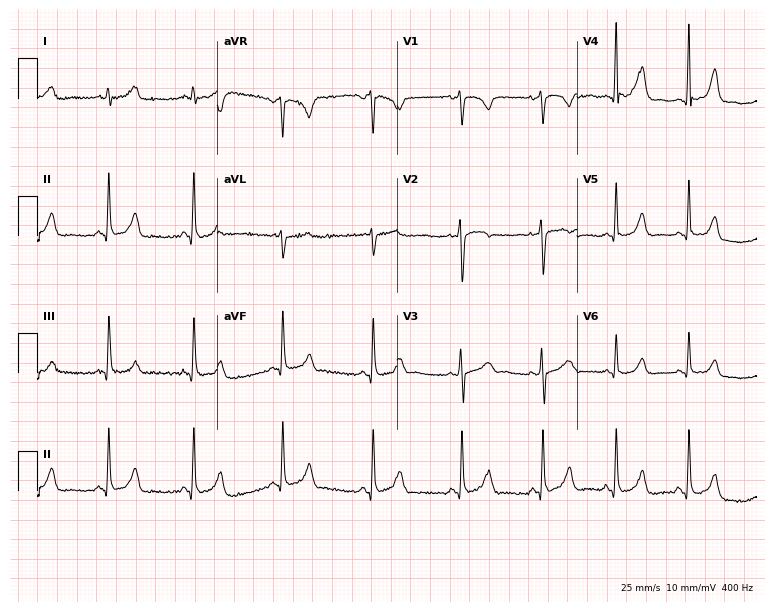
Standard 12-lead ECG recorded from a 27-year-old female patient (7.3-second recording at 400 Hz). None of these six findings is recorded: first-degree AV block, right bundle branch block, left bundle branch block, sinus bradycardia, atrial fibrillation, sinus tachycardia. Other findings, if any, are not listed.